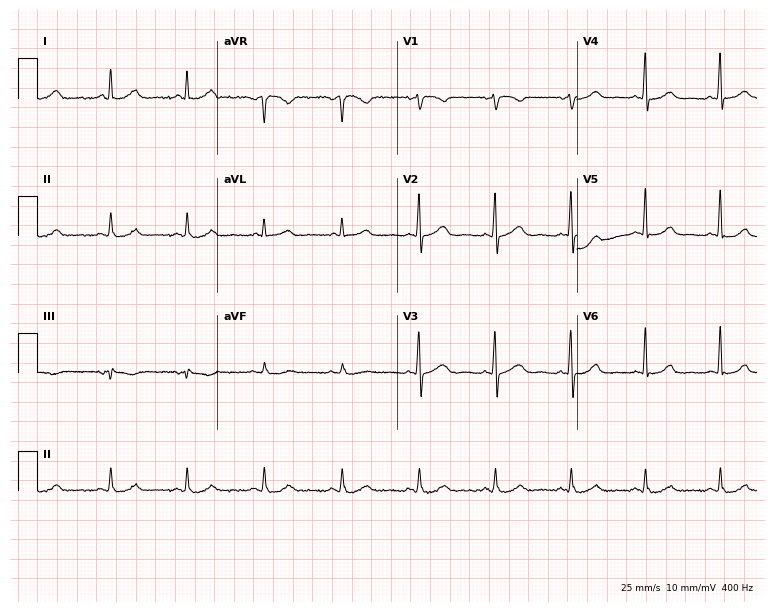
Resting 12-lead electrocardiogram. Patient: a 62-year-old female. None of these six findings is recorded: first-degree AV block, right bundle branch block, left bundle branch block, sinus bradycardia, atrial fibrillation, sinus tachycardia.